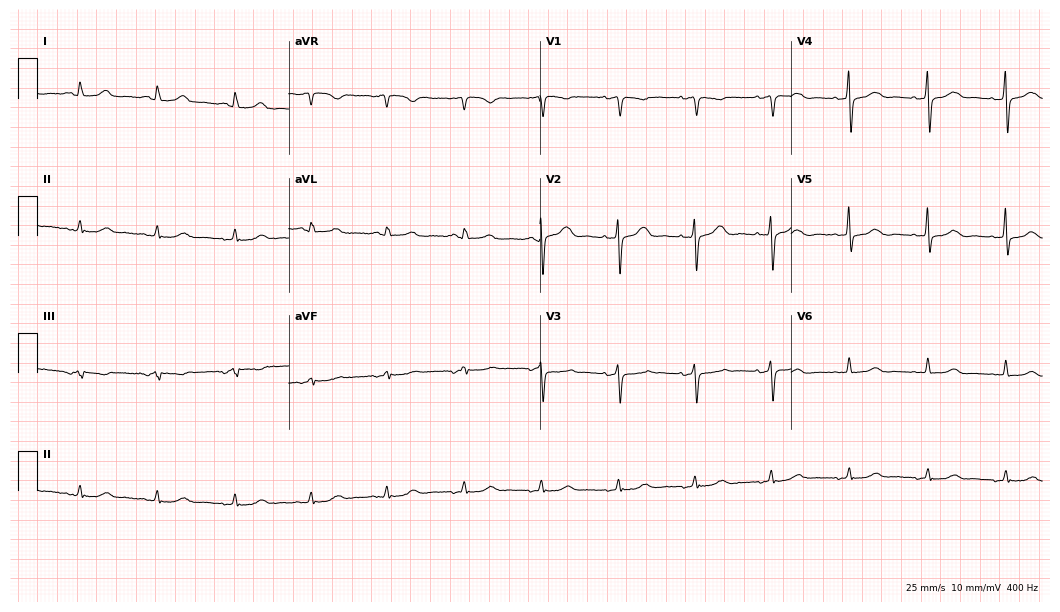
Electrocardiogram, a 56-year-old female patient. Of the six screened findings (first-degree AV block, right bundle branch block, left bundle branch block, sinus bradycardia, atrial fibrillation, sinus tachycardia), none is recorded.